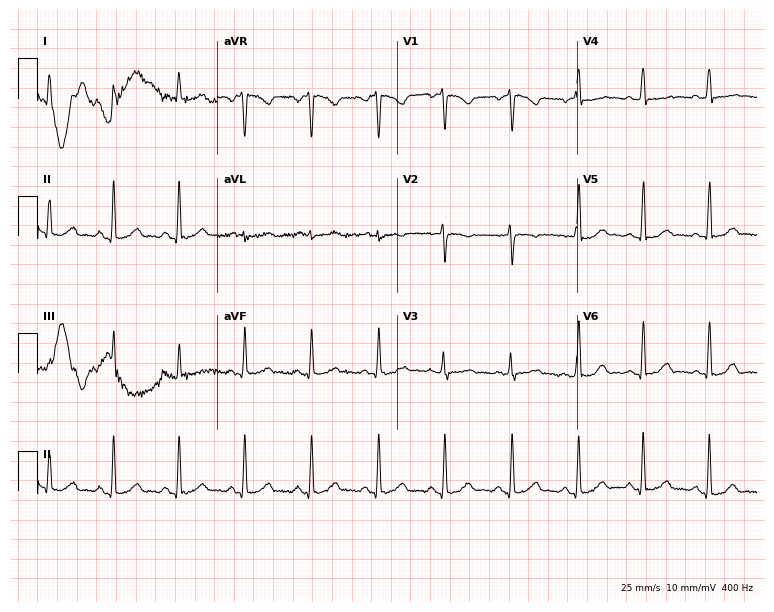
12-lead ECG from a 29-year-old female (7.3-second recording at 400 Hz). Recorded interpretation: within normal limits.